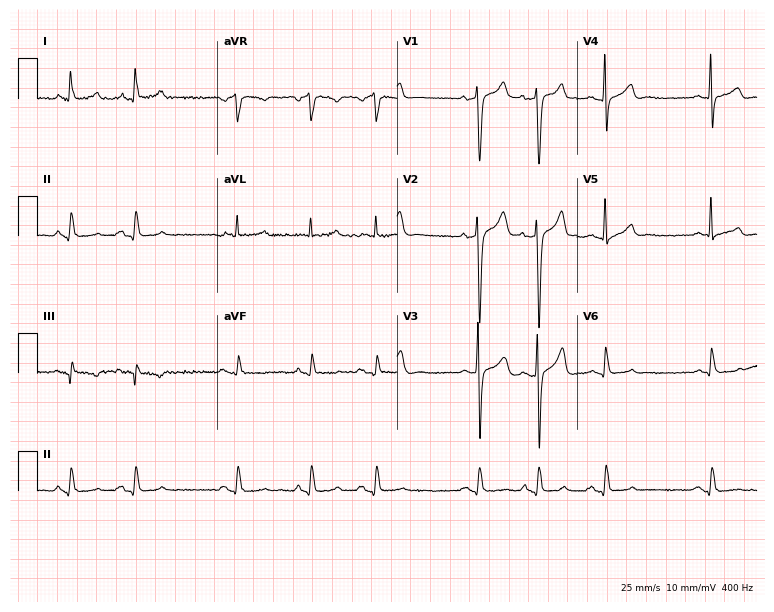
12-lead ECG from a 70-year-old male. Screened for six findings — first-degree AV block, right bundle branch block, left bundle branch block, sinus bradycardia, atrial fibrillation, sinus tachycardia — none is recorded. Findings outside these six are not listed.